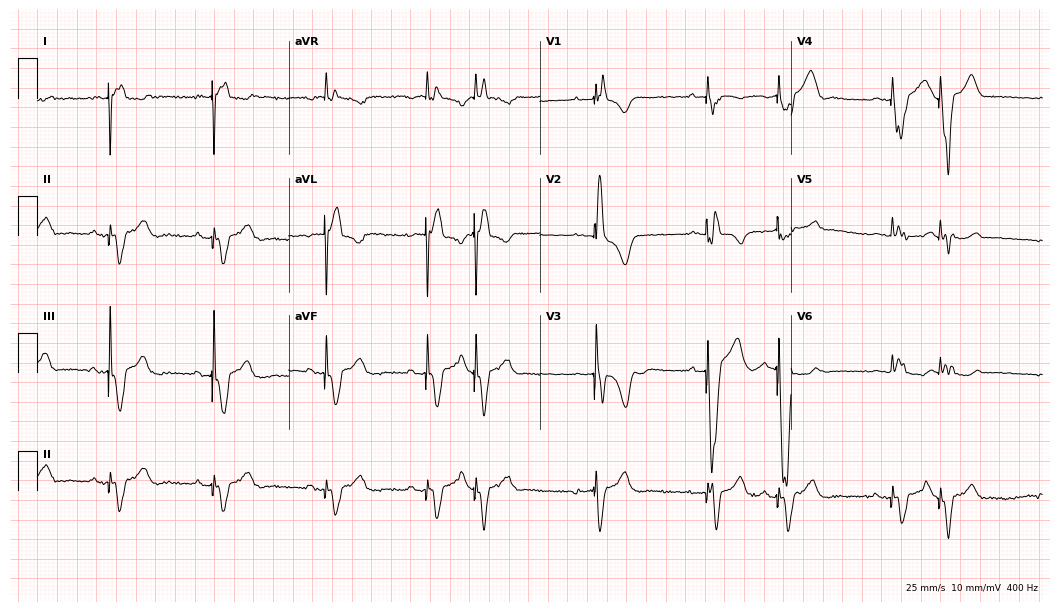
12-lead ECG (10.2-second recording at 400 Hz) from a man, 78 years old. Screened for six findings — first-degree AV block, right bundle branch block, left bundle branch block, sinus bradycardia, atrial fibrillation, sinus tachycardia — none is recorded.